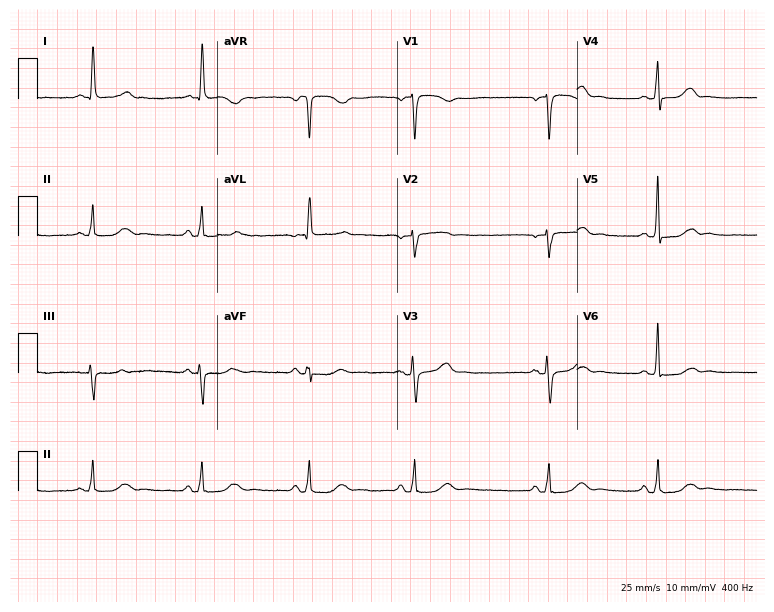
12-lead ECG from a female, 63 years old. Labelled as a normal ECG.